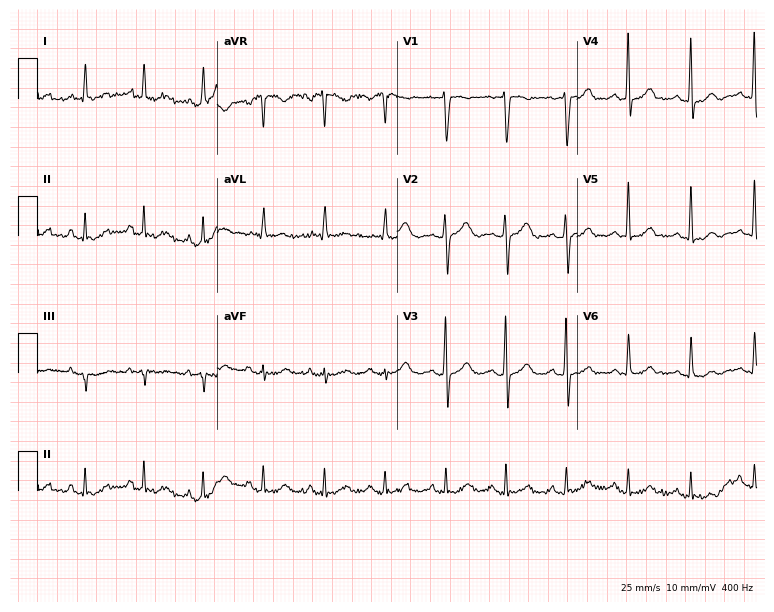
Standard 12-lead ECG recorded from a woman, 57 years old (7.3-second recording at 400 Hz). None of these six findings is recorded: first-degree AV block, right bundle branch block, left bundle branch block, sinus bradycardia, atrial fibrillation, sinus tachycardia. Findings outside these six are not listed.